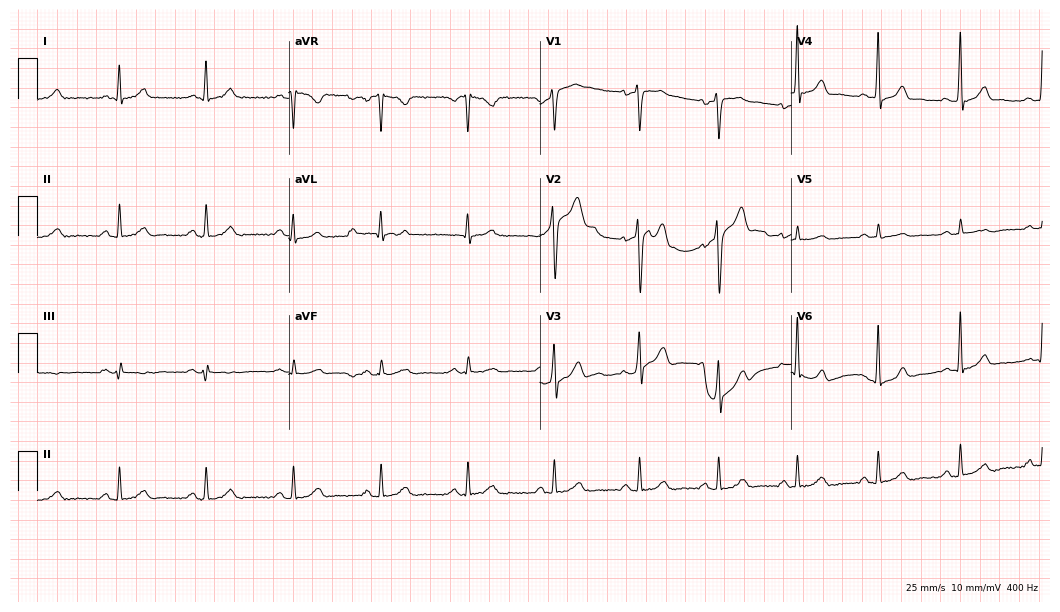
Standard 12-lead ECG recorded from a 56-year-old male. Read as a normal ECG.